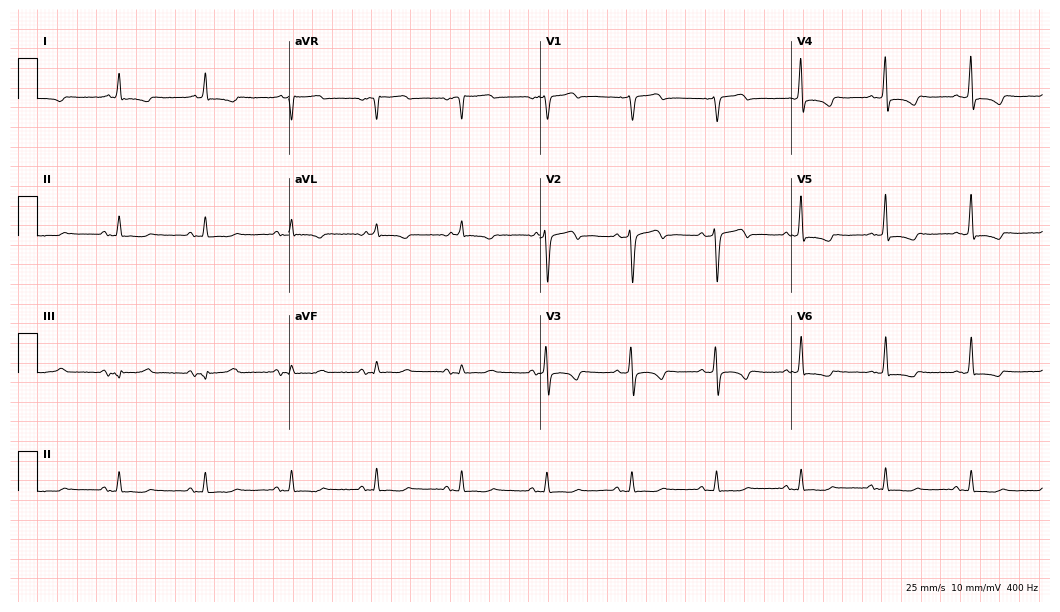
Electrocardiogram, a female patient, 72 years old. Of the six screened findings (first-degree AV block, right bundle branch block, left bundle branch block, sinus bradycardia, atrial fibrillation, sinus tachycardia), none is recorded.